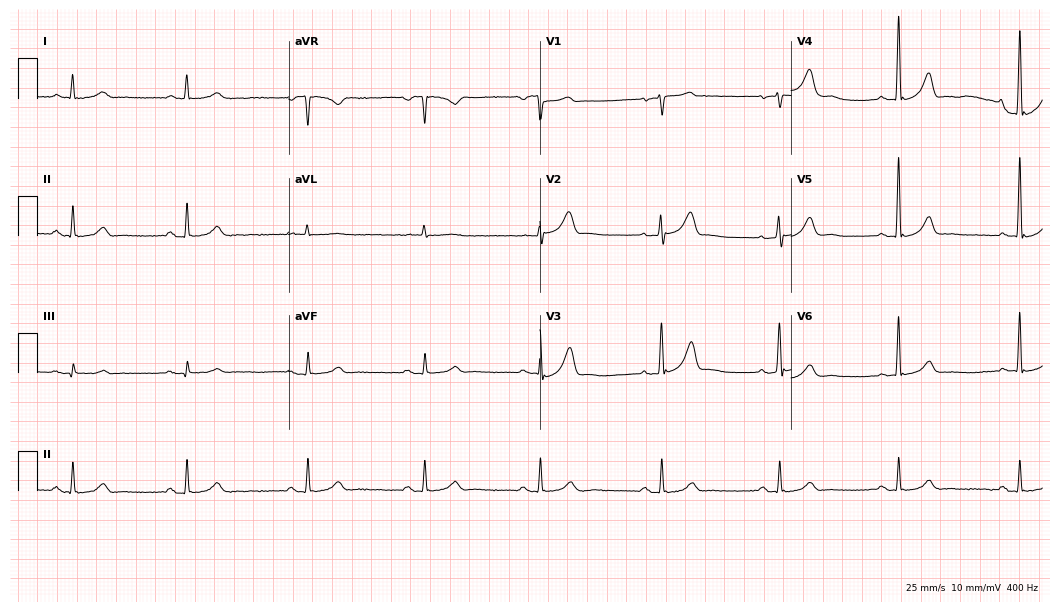
12-lead ECG from a 70-year-old man. No first-degree AV block, right bundle branch block, left bundle branch block, sinus bradycardia, atrial fibrillation or sinus tachycardia recorded for this tracing.